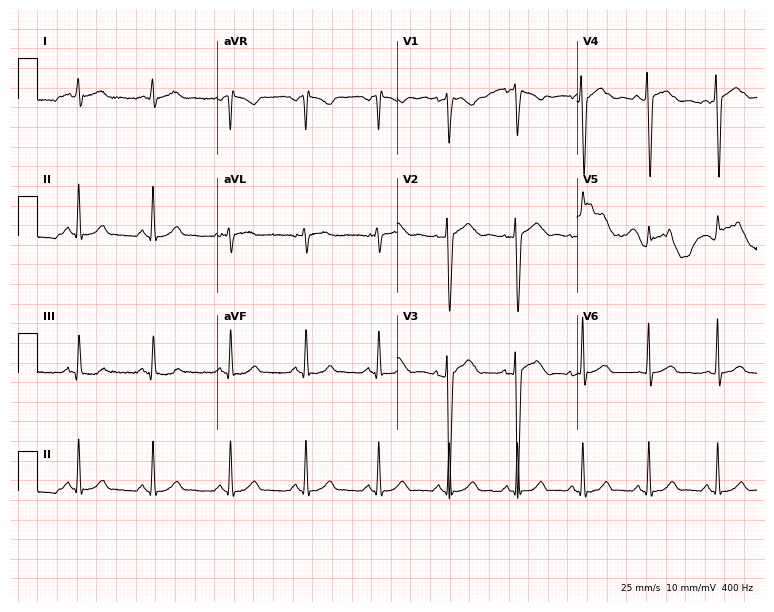
ECG — a male, 36 years old. Labelled as a normal ECG.